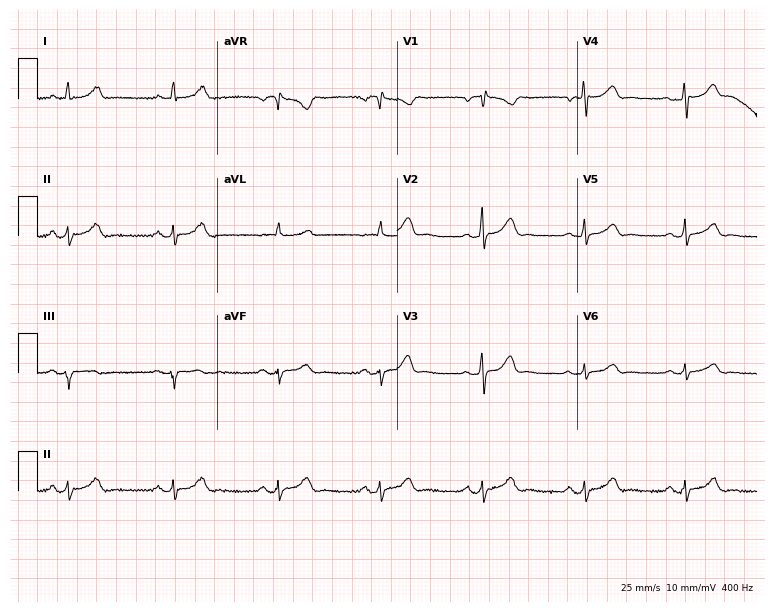
12-lead ECG from a 56-year-old man. Recorded interpretation: within normal limits.